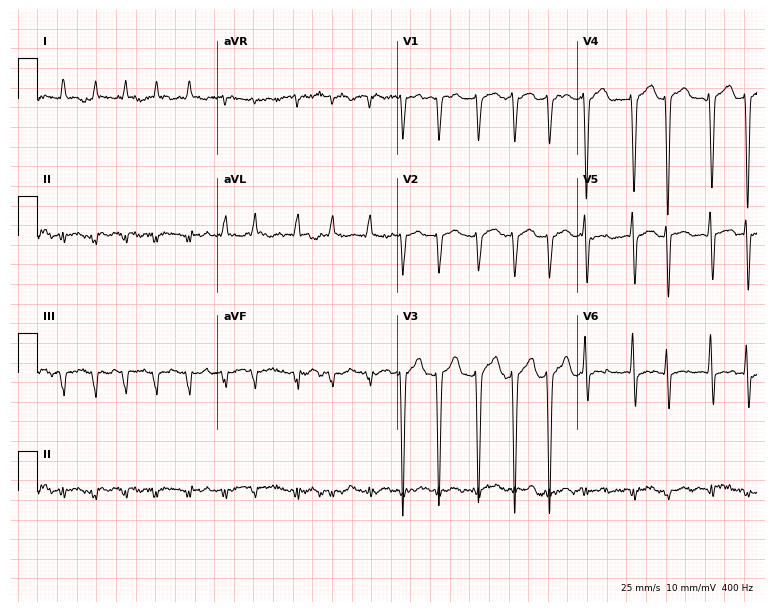
Standard 12-lead ECG recorded from a 73-year-old man (7.3-second recording at 400 Hz). None of these six findings is recorded: first-degree AV block, right bundle branch block (RBBB), left bundle branch block (LBBB), sinus bradycardia, atrial fibrillation (AF), sinus tachycardia. Only these six findings were labelled.